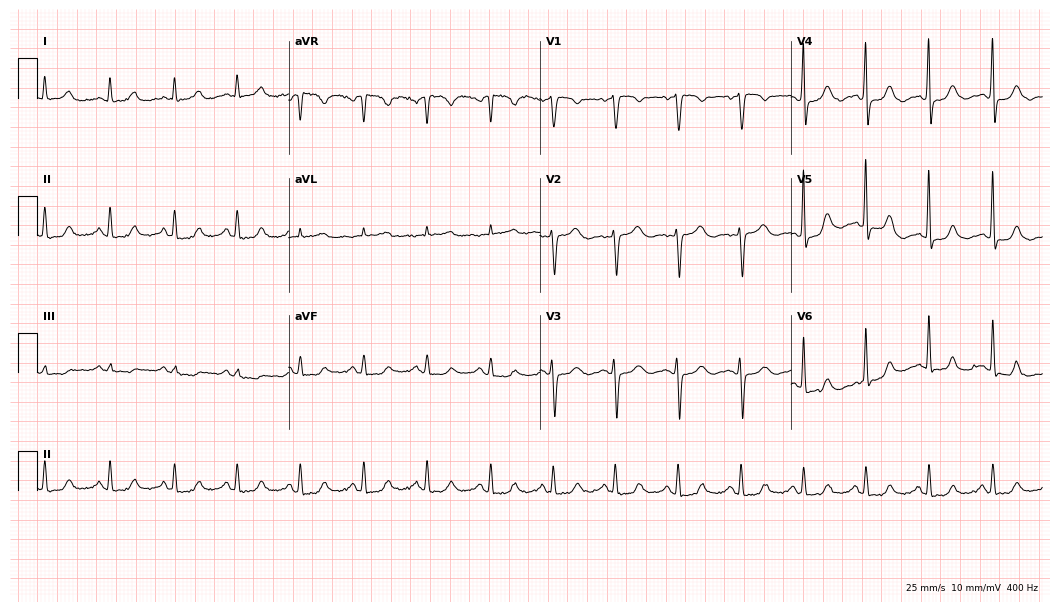
Standard 12-lead ECG recorded from a female patient, 63 years old. None of these six findings is recorded: first-degree AV block, right bundle branch block, left bundle branch block, sinus bradycardia, atrial fibrillation, sinus tachycardia.